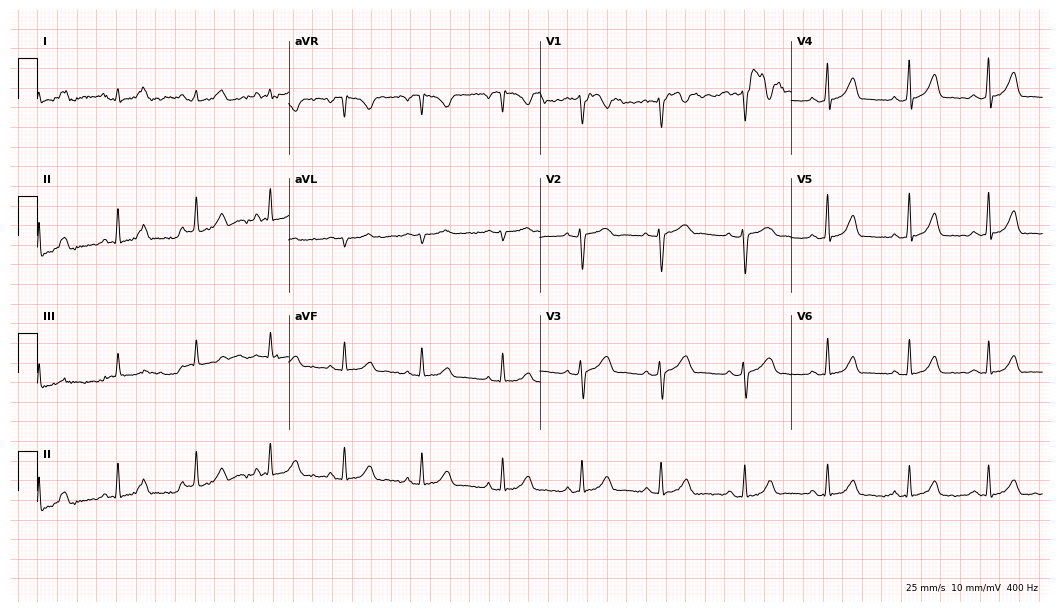
ECG — a female patient, 20 years old. Screened for six findings — first-degree AV block, right bundle branch block (RBBB), left bundle branch block (LBBB), sinus bradycardia, atrial fibrillation (AF), sinus tachycardia — none is recorded. Only these six findings were labelled.